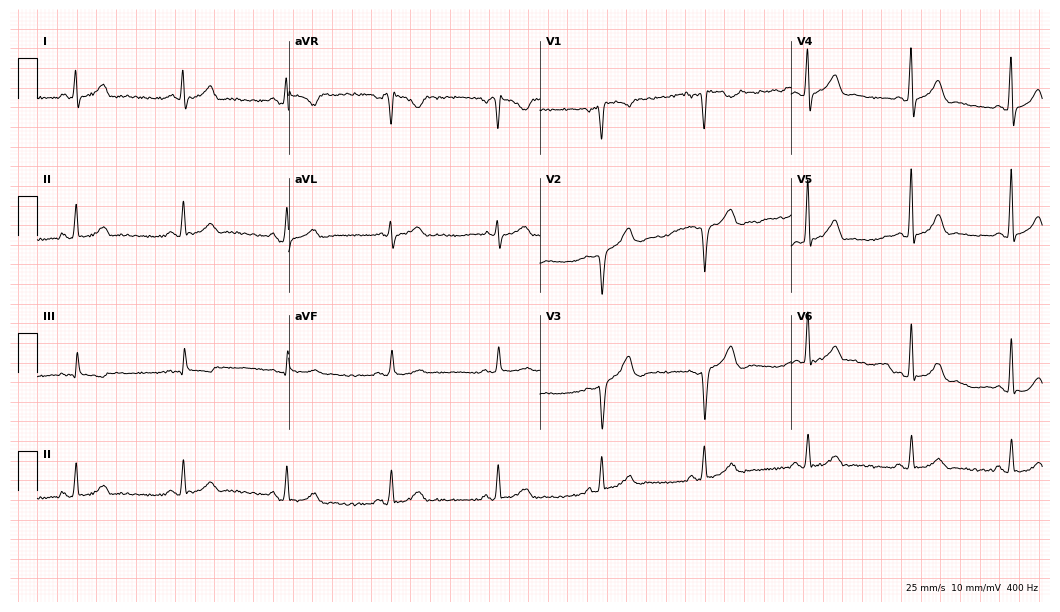
12-lead ECG from a 44-year-old man. No first-degree AV block, right bundle branch block, left bundle branch block, sinus bradycardia, atrial fibrillation or sinus tachycardia recorded for this tracing.